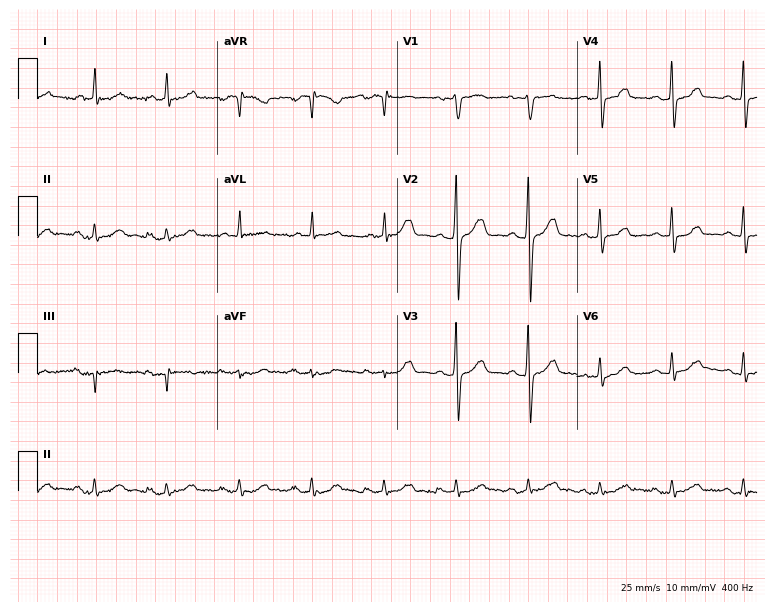
ECG — a male, 62 years old. Screened for six findings — first-degree AV block, right bundle branch block (RBBB), left bundle branch block (LBBB), sinus bradycardia, atrial fibrillation (AF), sinus tachycardia — none is recorded.